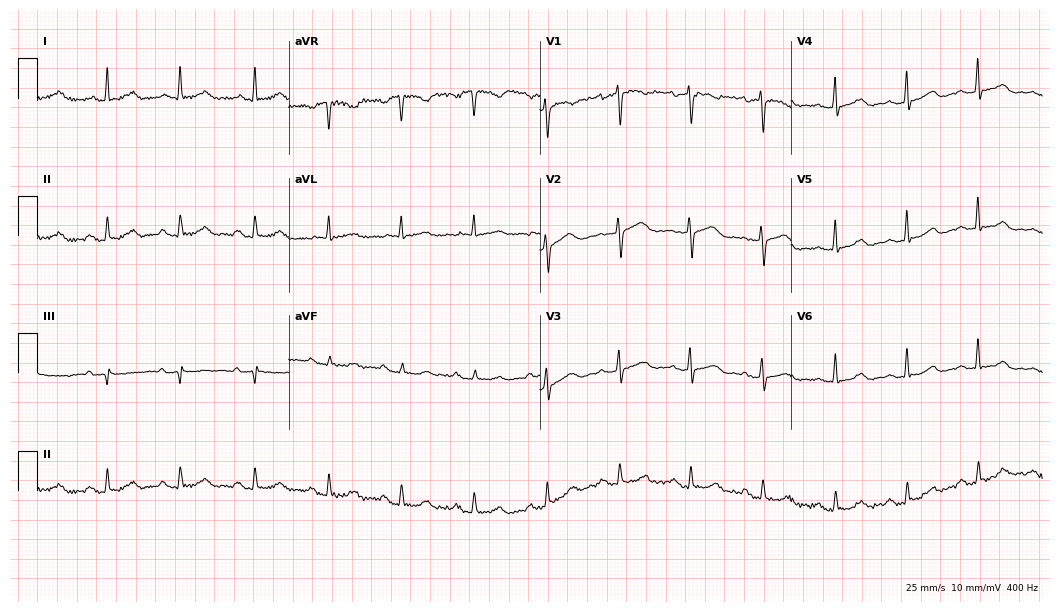
Resting 12-lead electrocardiogram (10.2-second recording at 400 Hz). Patient: a 70-year-old female. None of these six findings is recorded: first-degree AV block, right bundle branch block, left bundle branch block, sinus bradycardia, atrial fibrillation, sinus tachycardia.